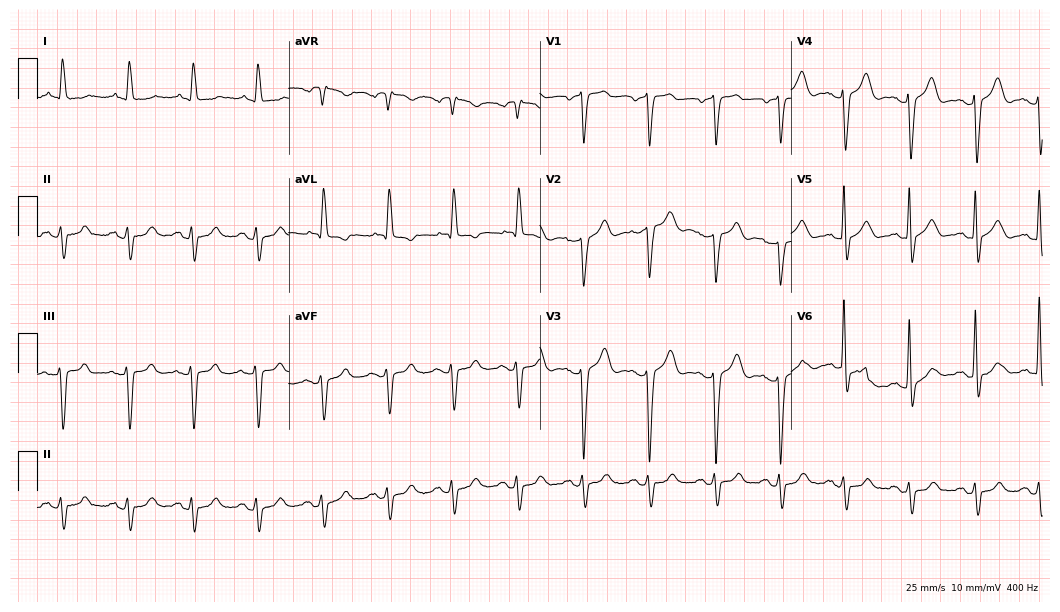
12-lead ECG (10.2-second recording at 400 Hz) from a woman, 85 years old. Screened for six findings — first-degree AV block, right bundle branch block, left bundle branch block, sinus bradycardia, atrial fibrillation, sinus tachycardia — none is recorded.